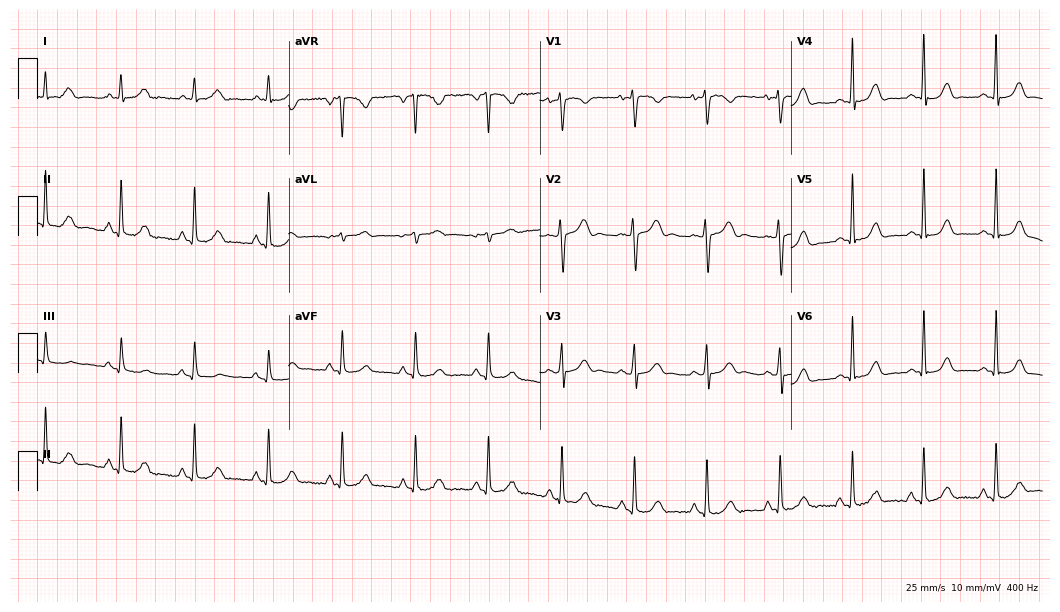
Standard 12-lead ECG recorded from a female patient, 40 years old (10.2-second recording at 400 Hz). None of these six findings is recorded: first-degree AV block, right bundle branch block, left bundle branch block, sinus bradycardia, atrial fibrillation, sinus tachycardia.